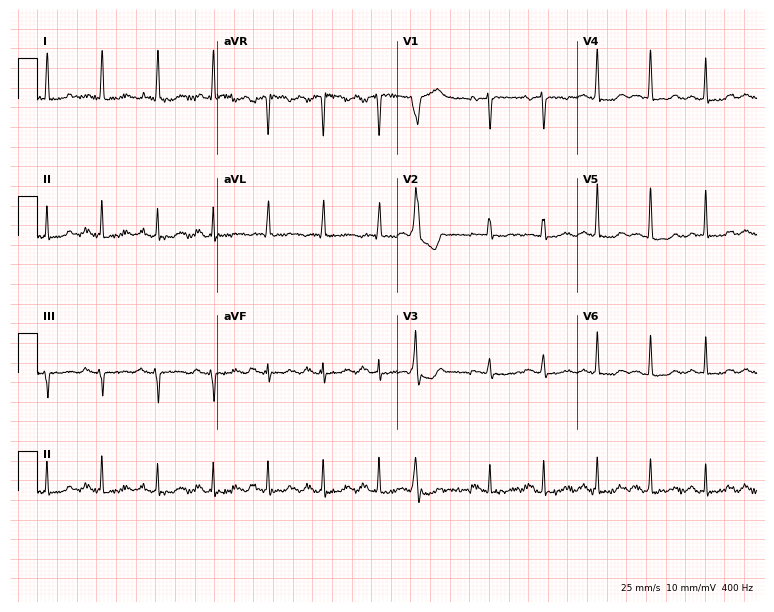
12-lead ECG from a 66-year-old woman. Findings include sinus tachycardia (a sinus rate of 100 beats per minute or more).